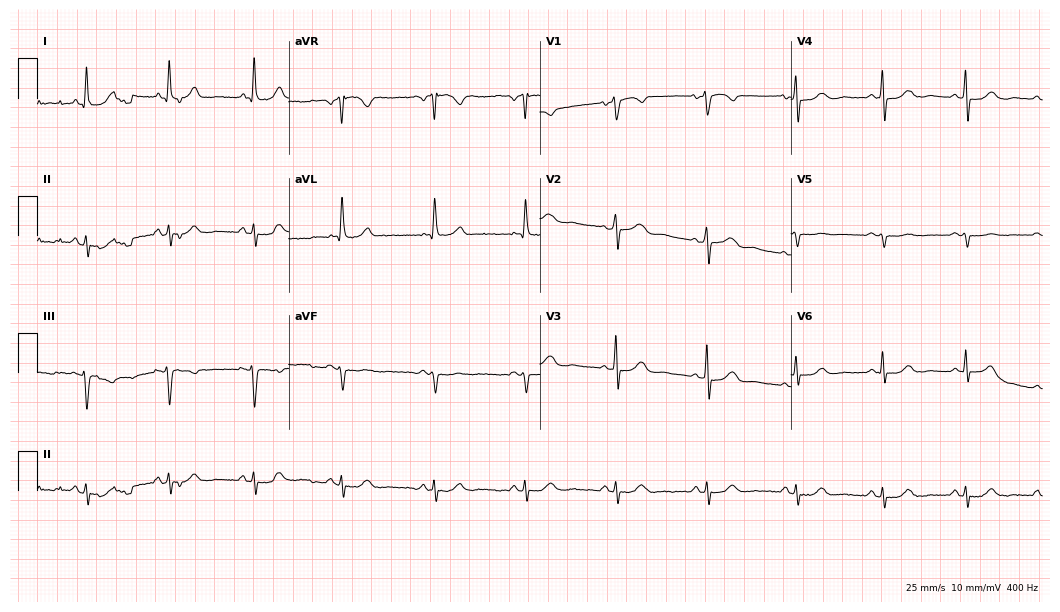
Resting 12-lead electrocardiogram (10.2-second recording at 400 Hz). Patient: a 70-year-old female. Read as a normal ECG.